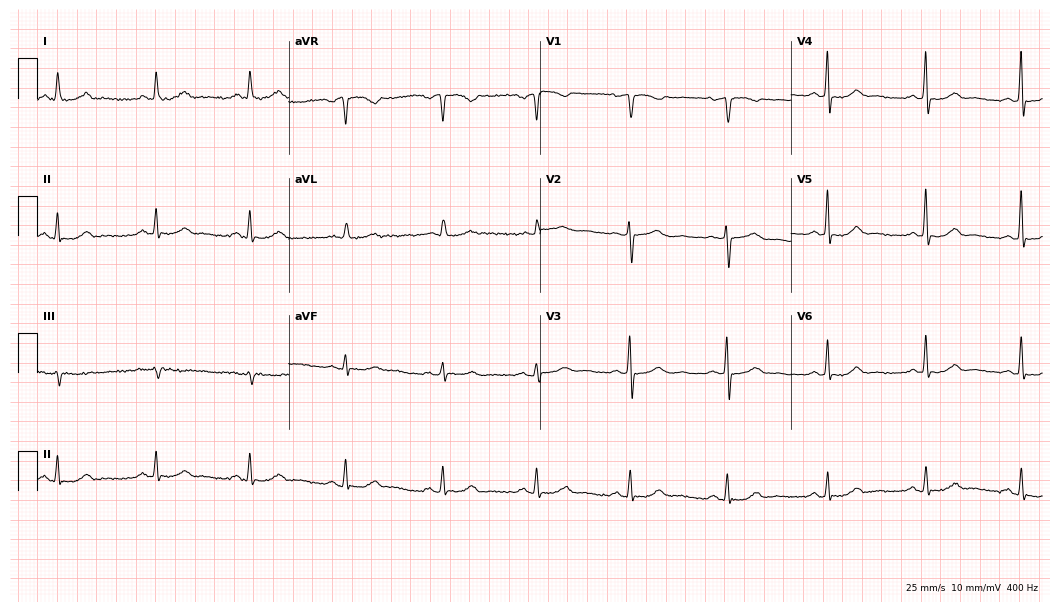
12-lead ECG from a female patient, 62 years old (10.2-second recording at 400 Hz). No first-degree AV block, right bundle branch block, left bundle branch block, sinus bradycardia, atrial fibrillation or sinus tachycardia recorded for this tracing.